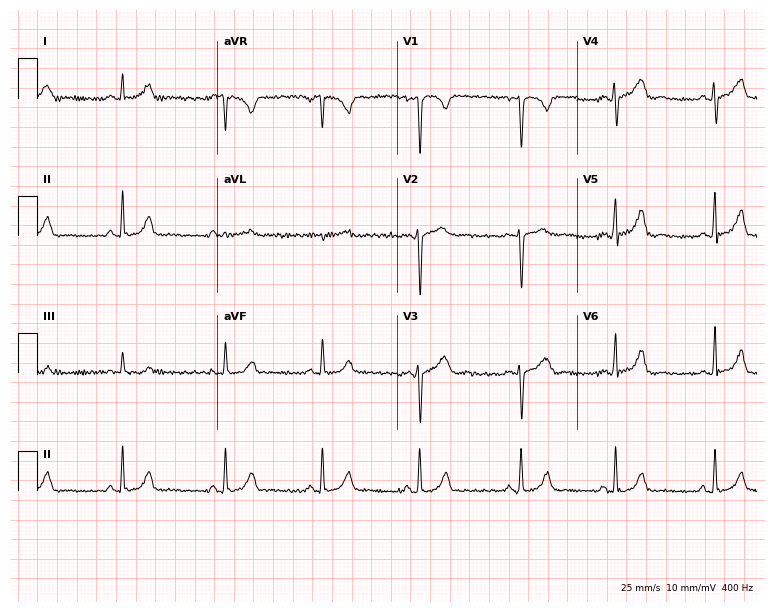
Standard 12-lead ECG recorded from a woman, 39 years old. None of these six findings is recorded: first-degree AV block, right bundle branch block (RBBB), left bundle branch block (LBBB), sinus bradycardia, atrial fibrillation (AF), sinus tachycardia. Only these six findings were labelled.